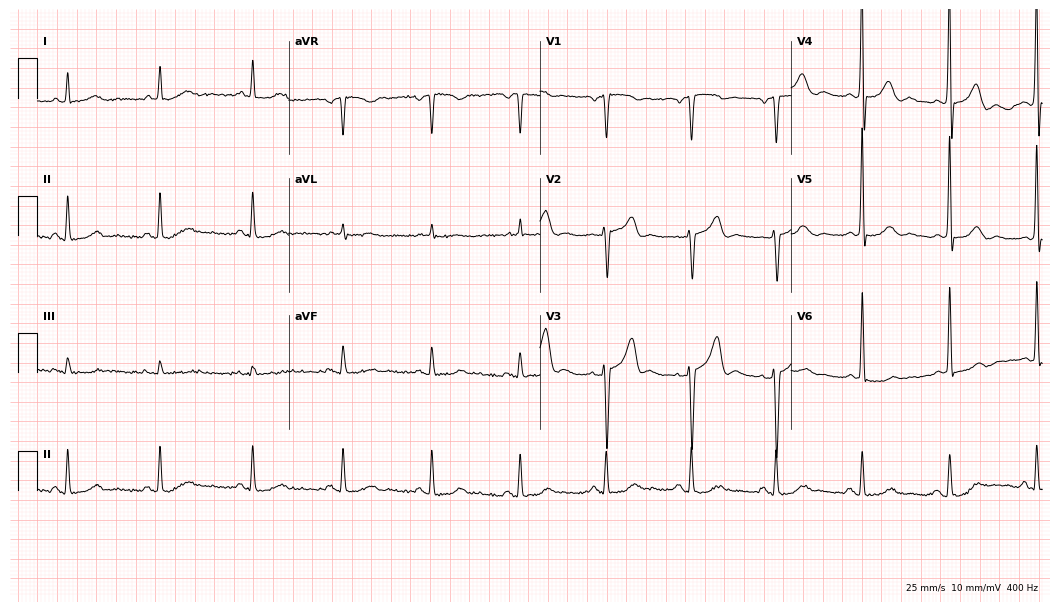
12-lead ECG from a 56-year-old male patient (10.2-second recording at 400 Hz). No first-degree AV block, right bundle branch block (RBBB), left bundle branch block (LBBB), sinus bradycardia, atrial fibrillation (AF) or sinus tachycardia recorded for this tracing.